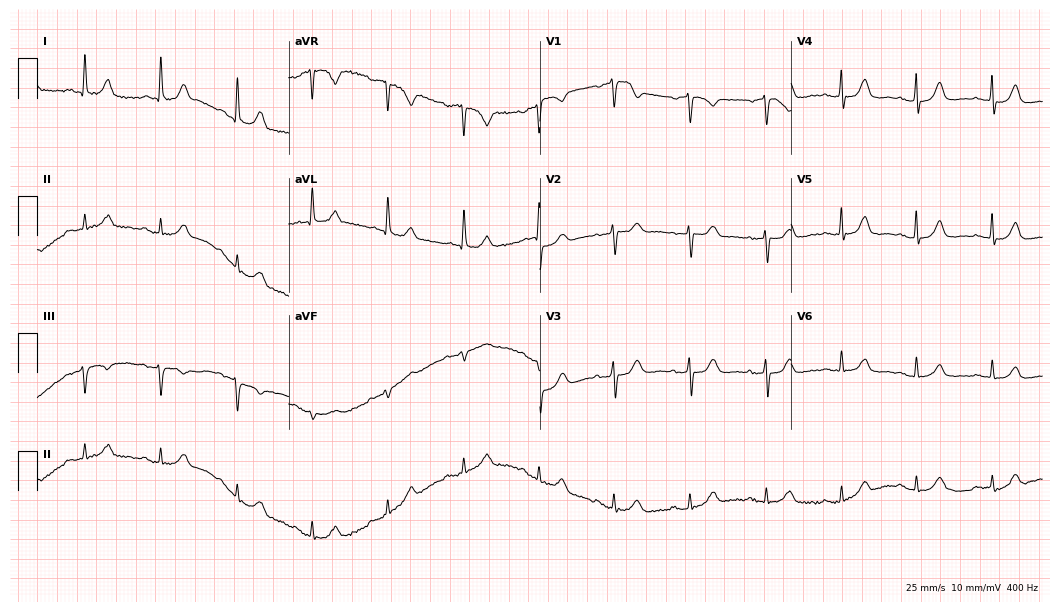
Standard 12-lead ECG recorded from a female patient, 69 years old. None of these six findings is recorded: first-degree AV block, right bundle branch block (RBBB), left bundle branch block (LBBB), sinus bradycardia, atrial fibrillation (AF), sinus tachycardia.